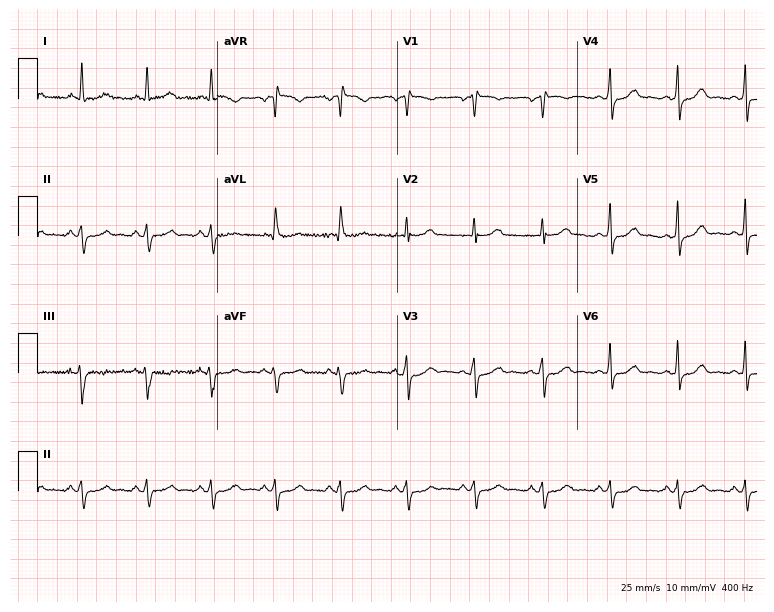
12-lead ECG (7.3-second recording at 400 Hz) from a 61-year-old female. Screened for six findings — first-degree AV block, right bundle branch block, left bundle branch block, sinus bradycardia, atrial fibrillation, sinus tachycardia — none is recorded. Only these six findings were labelled.